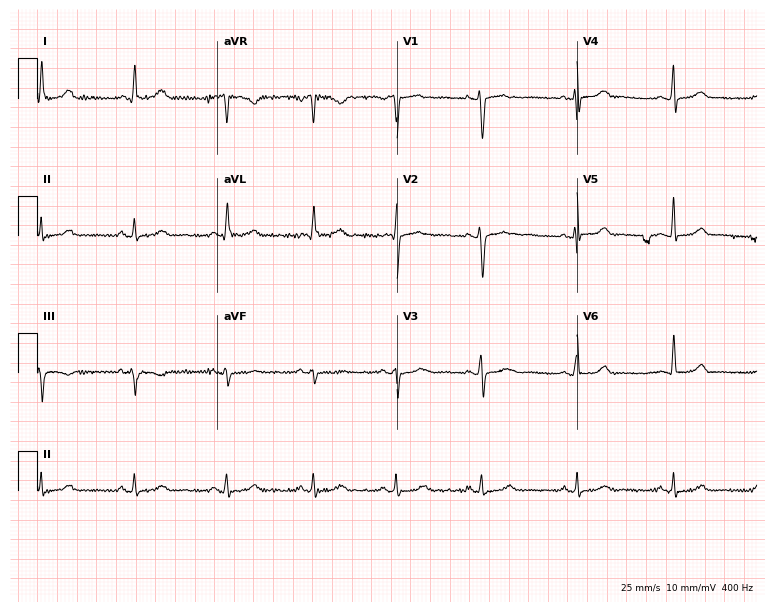
Standard 12-lead ECG recorded from a 32-year-old female patient. Read as a normal ECG.